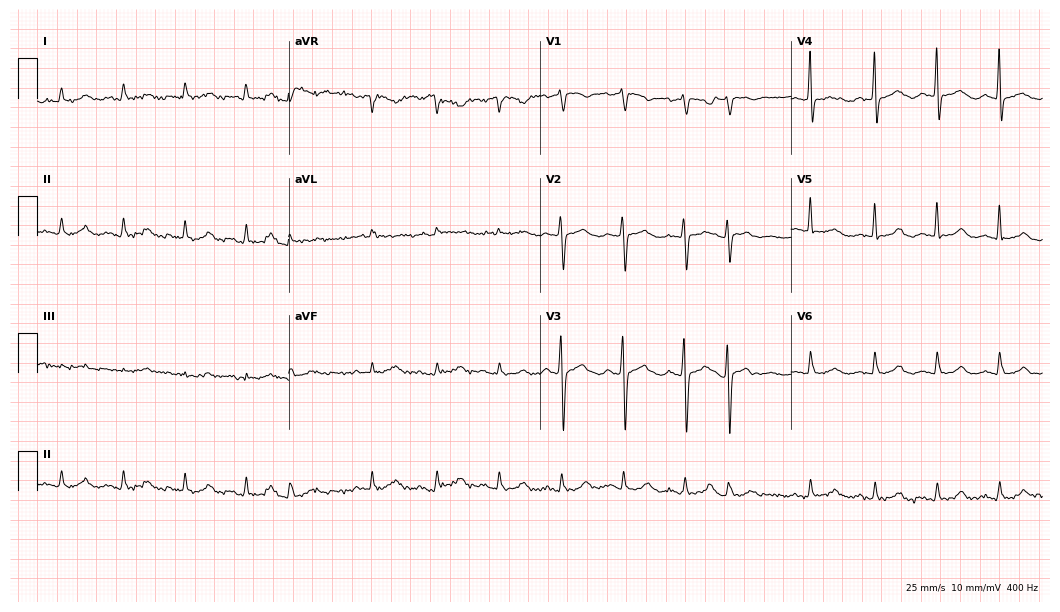
12-lead ECG (10.2-second recording at 400 Hz) from an 80-year-old woman. Screened for six findings — first-degree AV block, right bundle branch block (RBBB), left bundle branch block (LBBB), sinus bradycardia, atrial fibrillation (AF), sinus tachycardia — none is recorded.